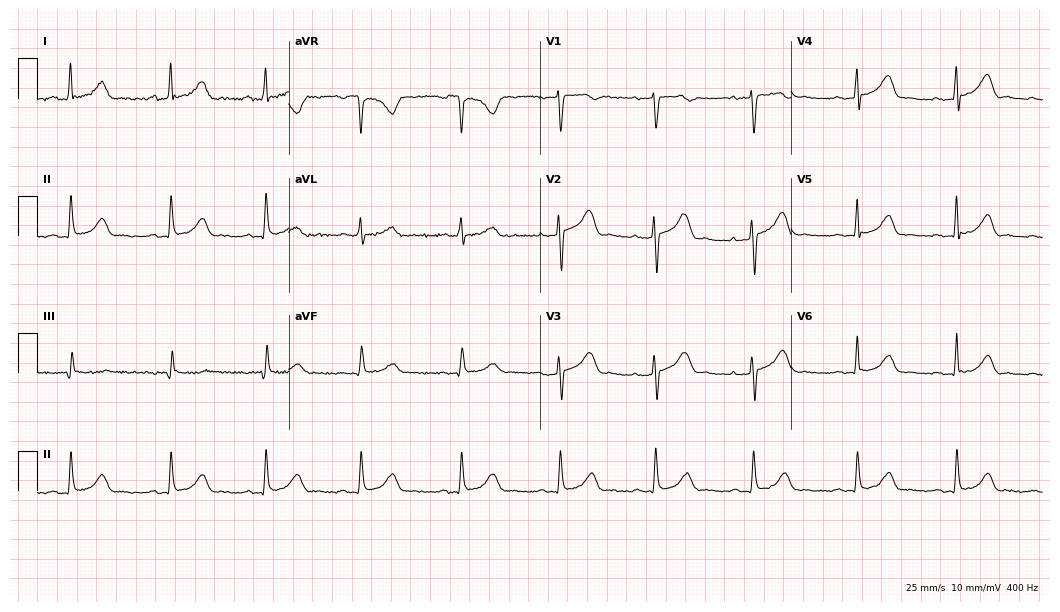
12-lead ECG from a woman, 53 years old. No first-degree AV block, right bundle branch block (RBBB), left bundle branch block (LBBB), sinus bradycardia, atrial fibrillation (AF) or sinus tachycardia recorded for this tracing.